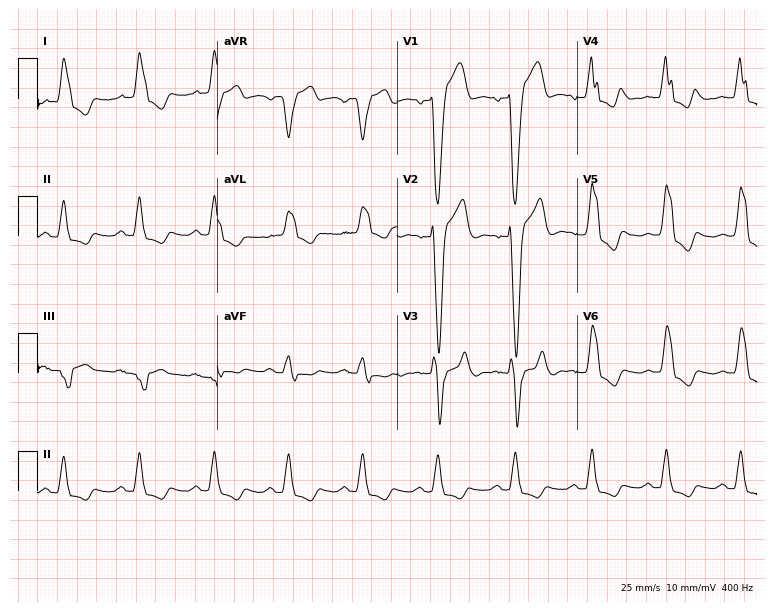
ECG (7.3-second recording at 400 Hz) — a male, 80 years old. Findings include left bundle branch block (LBBB).